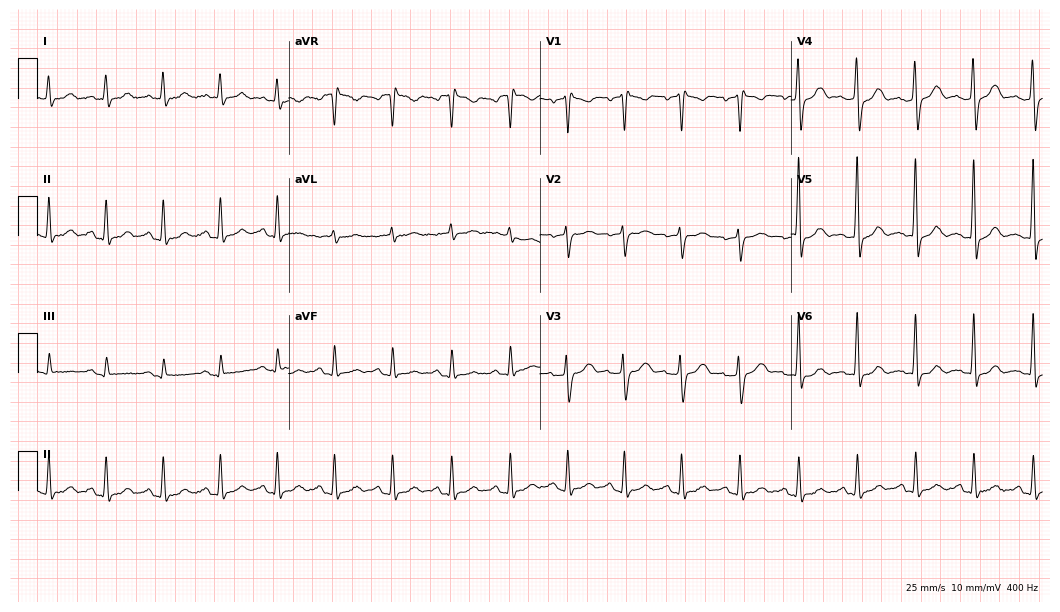
Electrocardiogram (10.2-second recording at 400 Hz), a male, 39 years old. Interpretation includes sinus tachycardia (a sinus rate of 100 beats per minute or more).